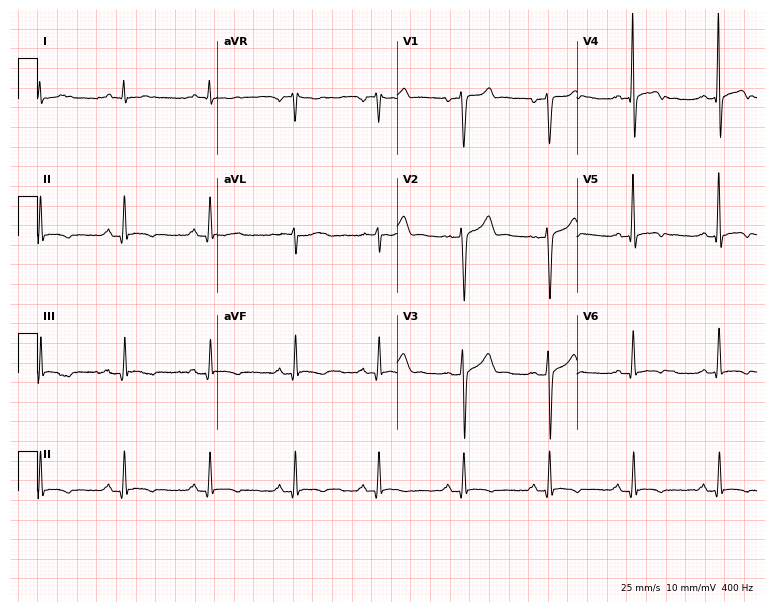
Standard 12-lead ECG recorded from a male, 40 years old. None of these six findings is recorded: first-degree AV block, right bundle branch block, left bundle branch block, sinus bradycardia, atrial fibrillation, sinus tachycardia.